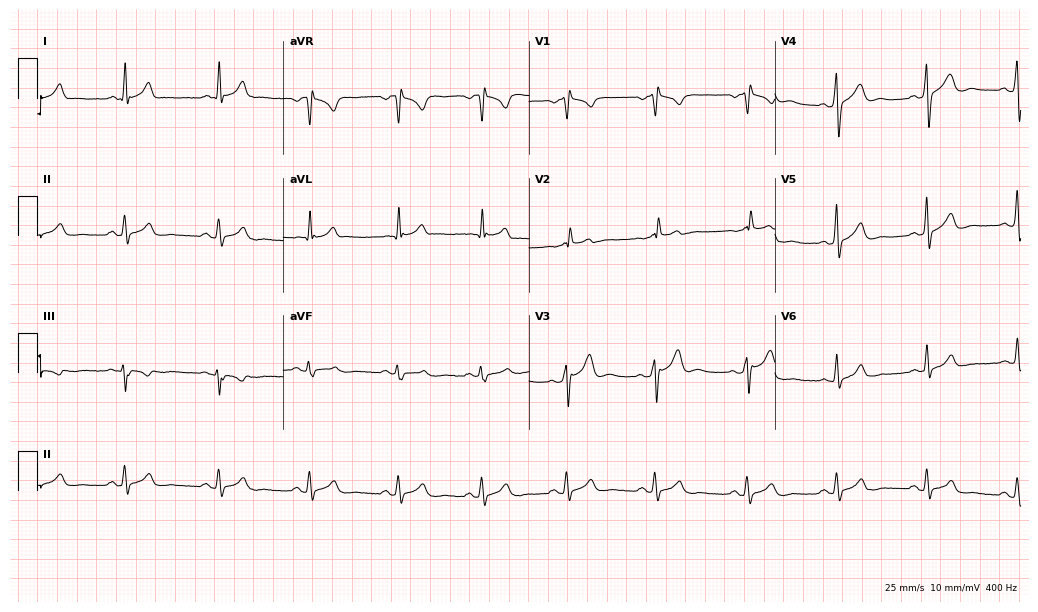
Standard 12-lead ECG recorded from a 34-year-old male patient (10-second recording at 400 Hz). None of these six findings is recorded: first-degree AV block, right bundle branch block (RBBB), left bundle branch block (LBBB), sinus bradycardia, atrial fibrillation (AF), sinus tachycardia.